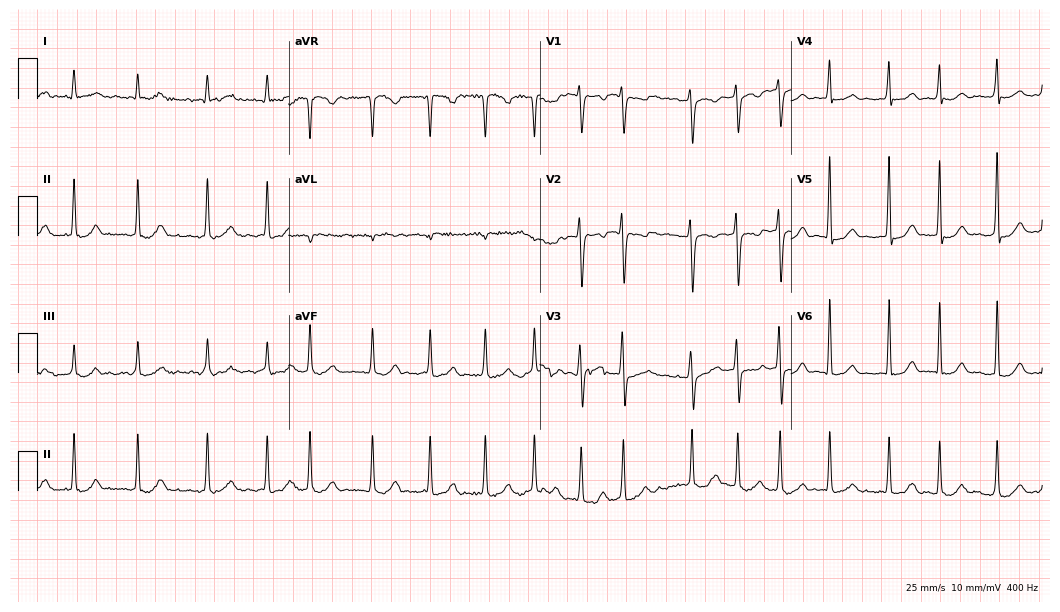
Standard 12-lead ECG recorded from a 30-year-old female (10.2-second recording at 400 Hz). None of these six findings is recorded: first-degree AV block, right bundle branch block, left bundle branch block, sinus bradycardia, atrial fibrillation, sinus tachycardia. Only these six findings were labelled.